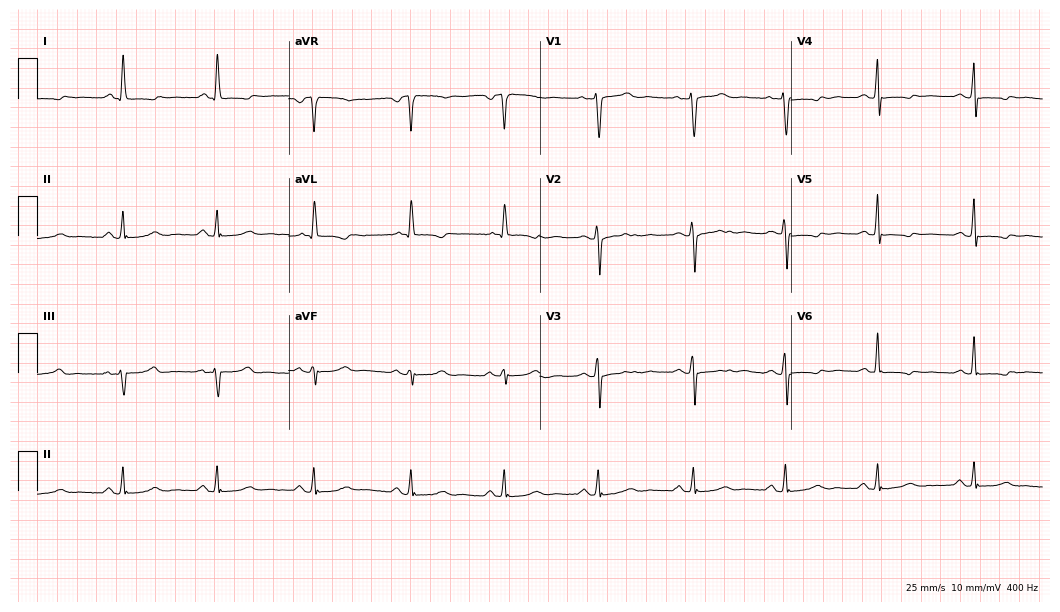
Resting 12-lead electrocardiogram. Patient: a 65-year-old male. None of these six findings is recorded: first-degree AV block, right bundle branch block, left bundle branch block, sinus bradycardia, atrial fibrillation, sinus tachycardia.